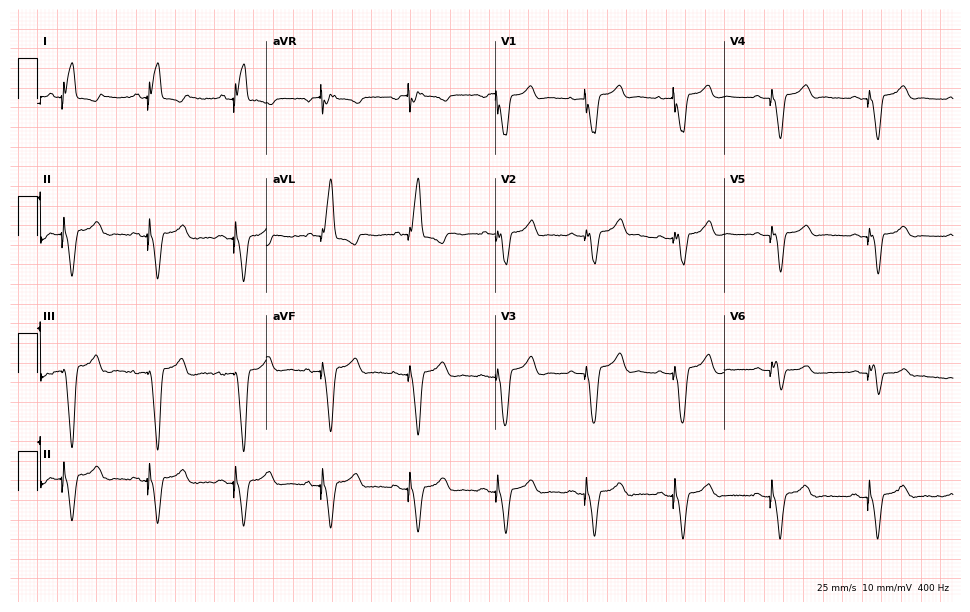
12-lead ECG from a woman, 42 years old (9.3-second recording at 400 Hz). No first-degree AV block, right bundle branch block, left bundle branch block, sinus bradycardia, atrial fibrillation or sinus tachycardia recorded for this tracing. Only these six findings were labelled.